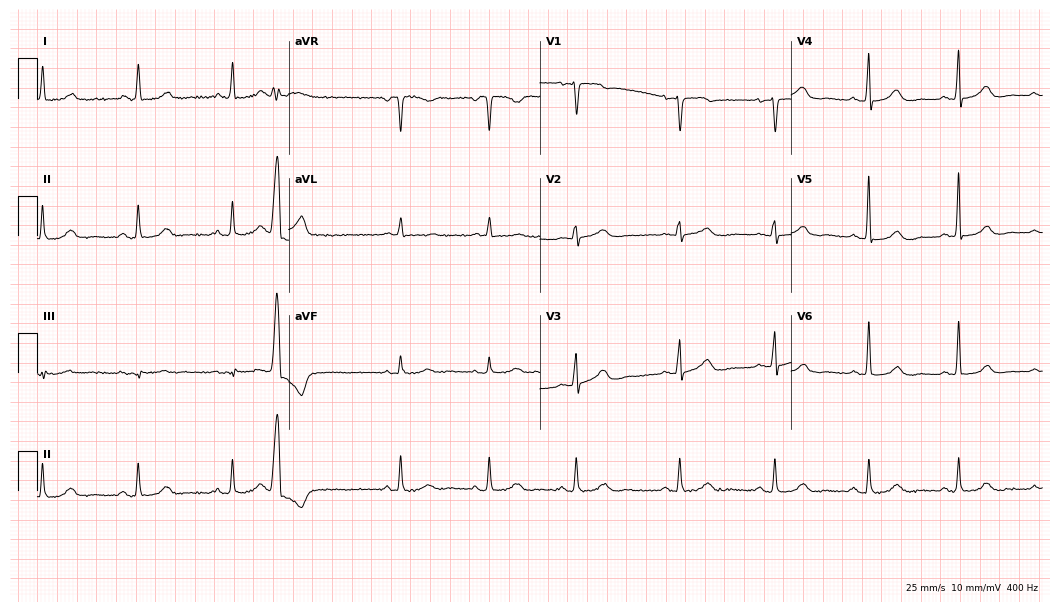
Electrocardiogram, a 70-year-old female patient. Of the six screened findings (first-degree AV block, right bundle branch block, left bundle branch block, sinus bradycardia, atrial fibrillation, sinus tachycardia), none is recorded. Other findings, if any, are not listed.